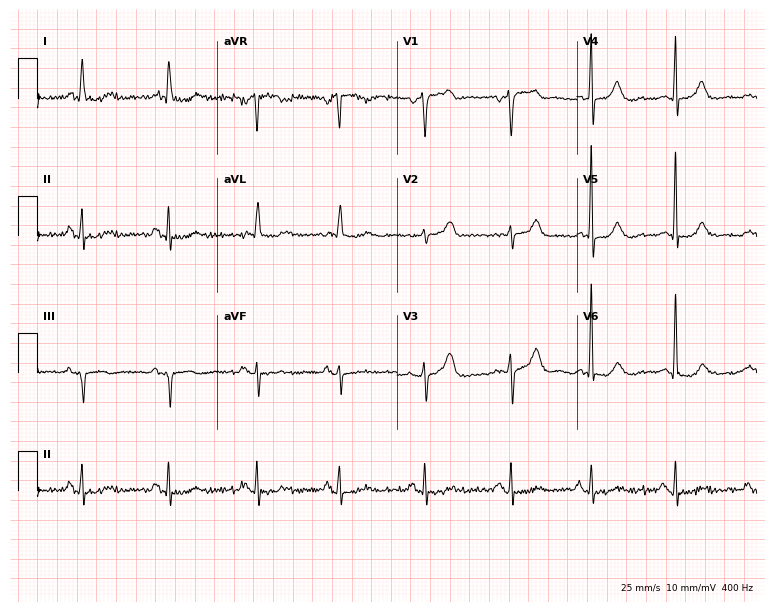
12-lead ECG (7.3-second recording at 400 Hz) from a 75-year-old male. Screened for six findings — first-degree AV block, right bundle branch block, left bundle branch block, sinus bradycardia, atrial fibrillation, sinus tachycardia — none is recorded. Findings outside these six are not listed.